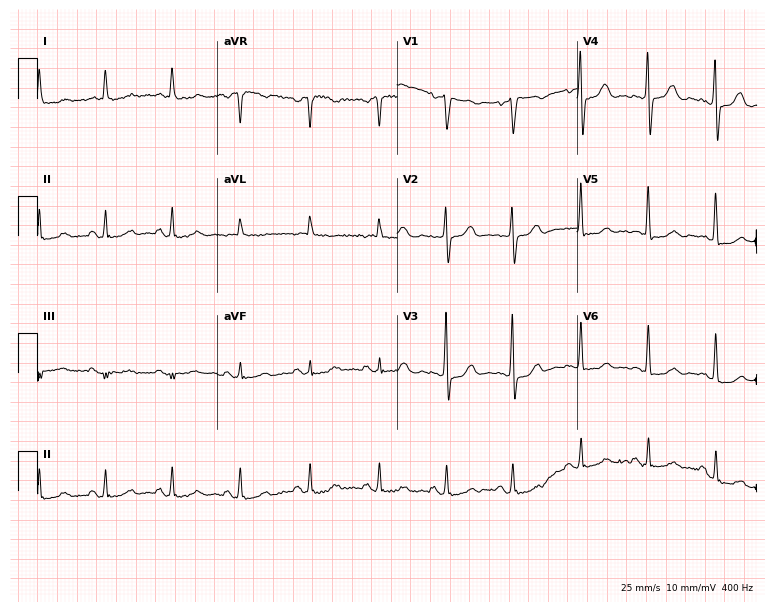
ECG — an 81-year-old female patient. Screened for six findings — first-degree AV block, right bundle branch block (RBBB), left bundle branch block (LBBB), sinus bradycardia, atrial fibrillation (AF), sinus tachycardia — none is recorded.